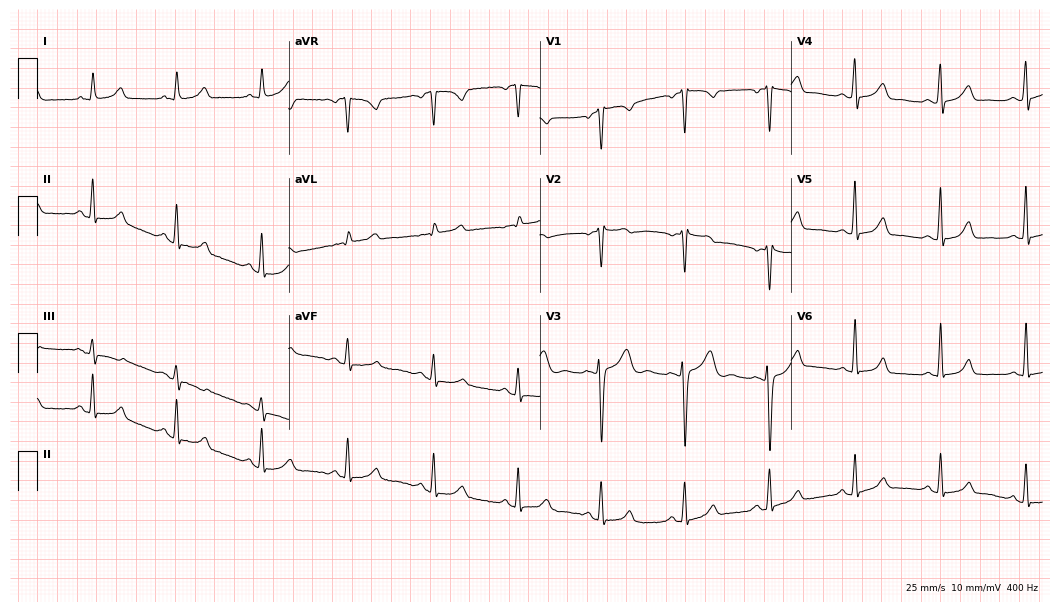
ECG — a 45-year-old female. Labelled as a normal ECG.